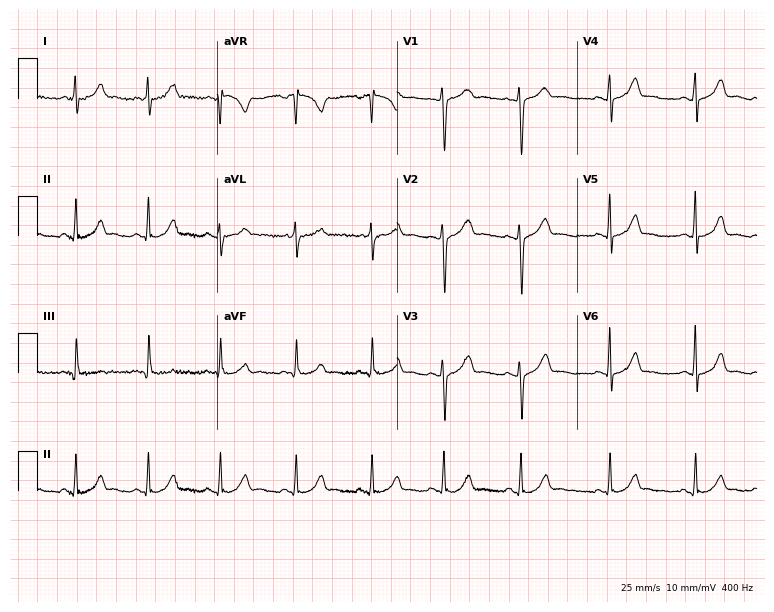
Resting 12-lead electrocardiogram. Patient: a 28-year-old female. None of these six findings is recorded: first-degree AV block, right bundle branch block, left bundle branch block, sinus bradycardia, atrial fibrillation, sinus tachycardia.